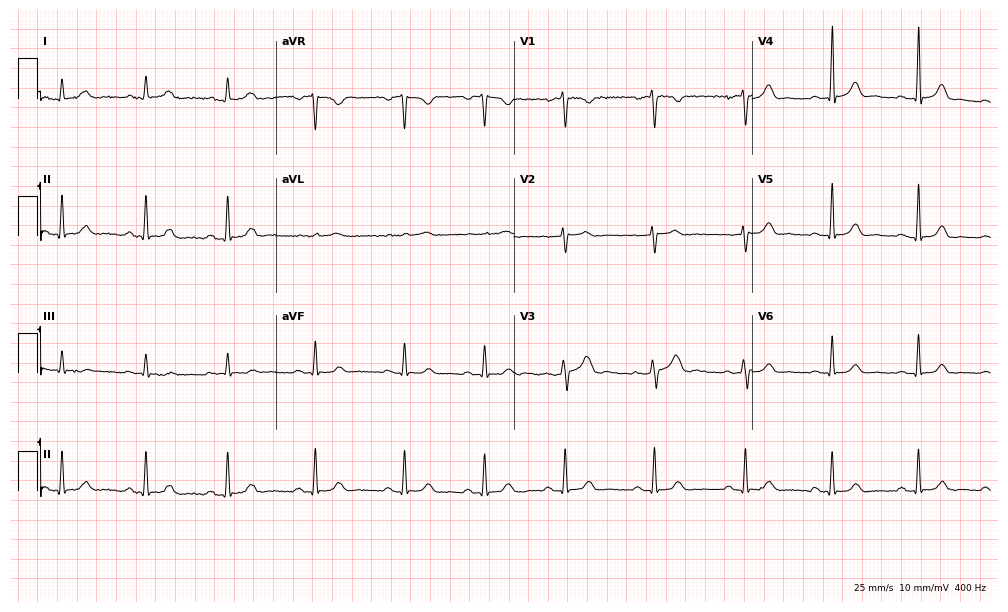
ECG — a female, 27 years old. Labelled as a normal ECG.